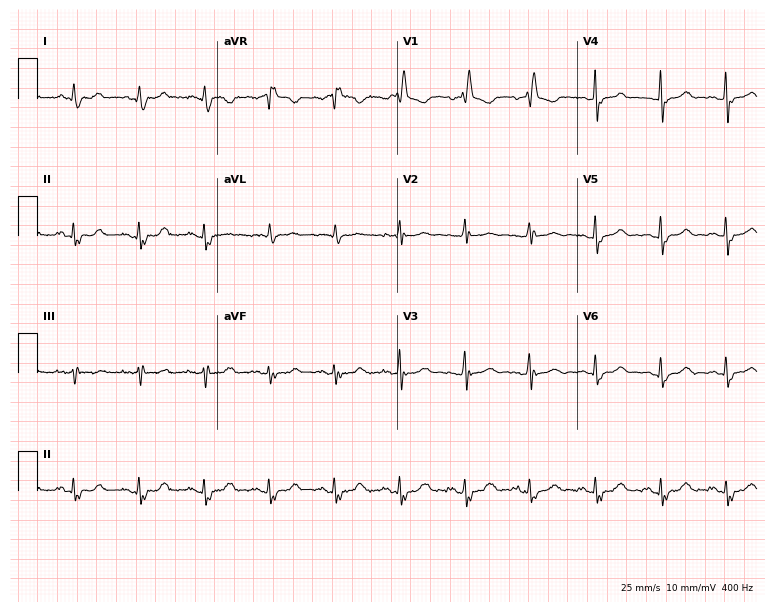
Electrocardiogram (7.3-second recording at 400 Hz), a woman, 77 years old. Interpretation includes right bundle branch block.